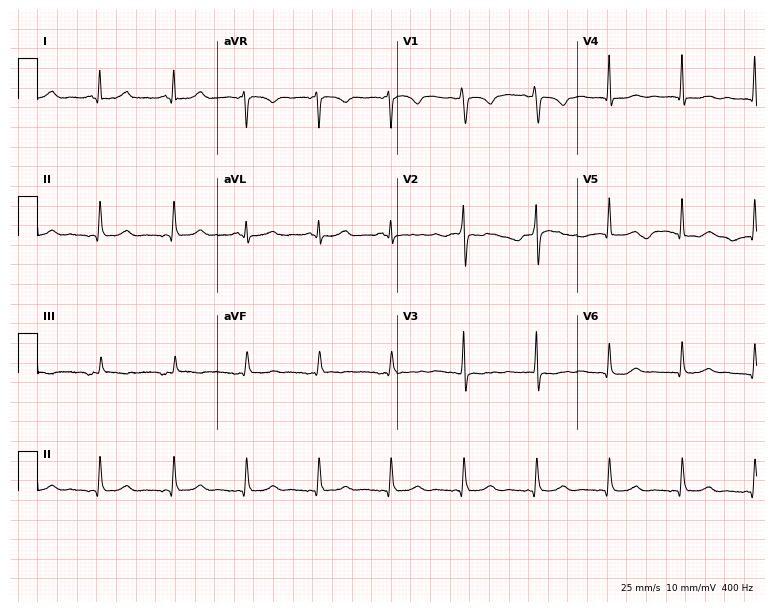
12-lead ECG from a 56-year-old female patient. Screened for six findings — first-degree AV block, right bundle branch block, left bundle branch block, sinus bradycardia, atrial fibrillation, sinus tachycardia — none is recorded.